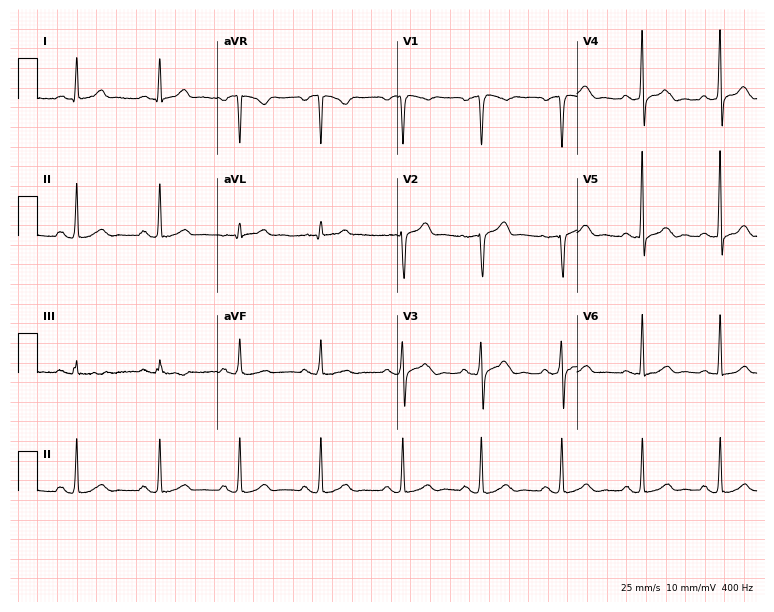
Standard 12-lead ECG recorded from a 41-year-old male. None of these six findings is recorded: first-degree AV block, right bundle branch block, left bundle branch block, sinus bradycardia, atrial fibrillation, sinus tachycardia.